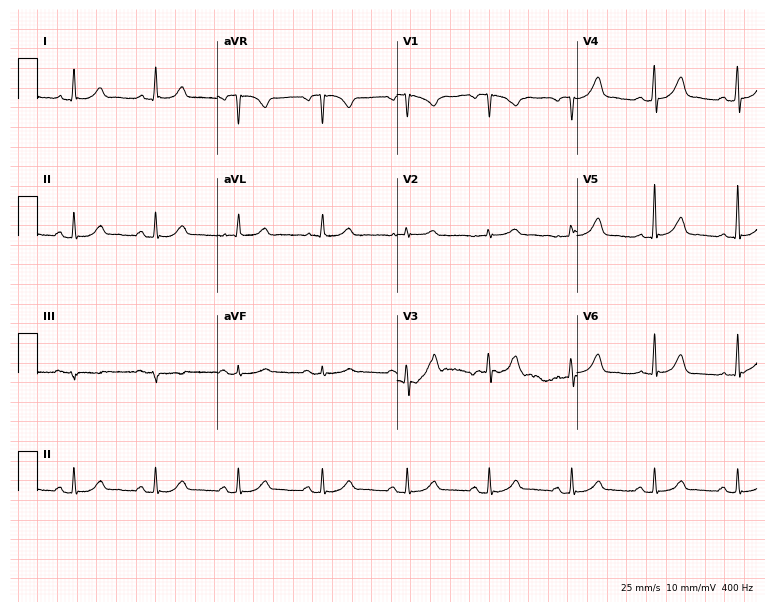
12-lead ECG from a 54-year-old male patient. Labelled as a normal ECG.